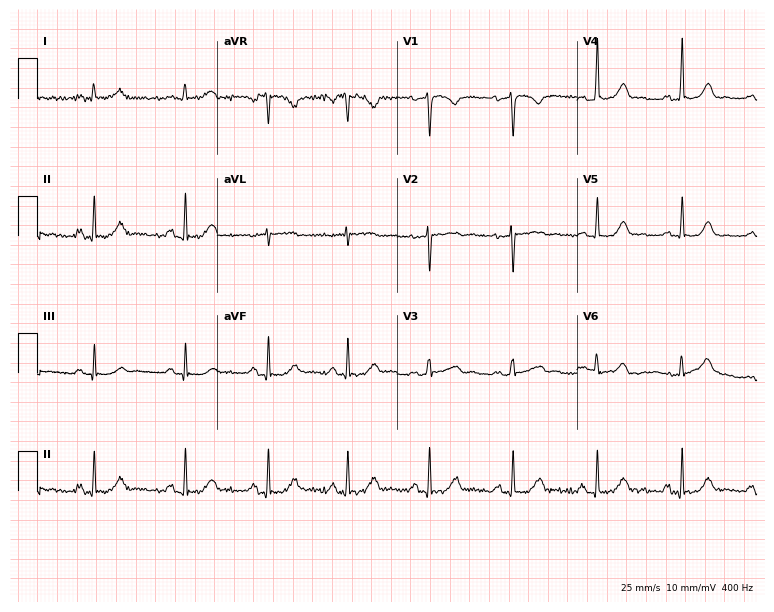
Resting 12-lead electrocardiogram. Patient: a 47-year-old female. Read as a normal ECG.